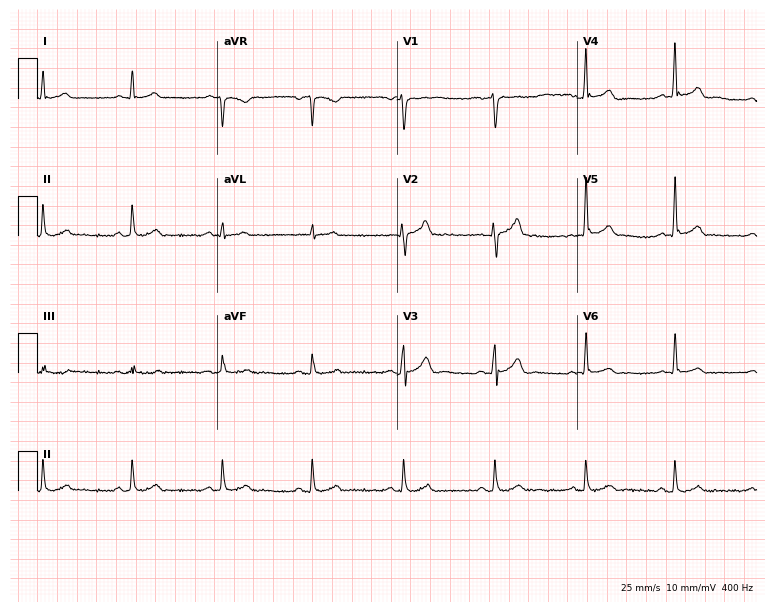
Resting 12-lead electrocardiogram. Patient: a 58-year-old man. Read as a normal ECG.